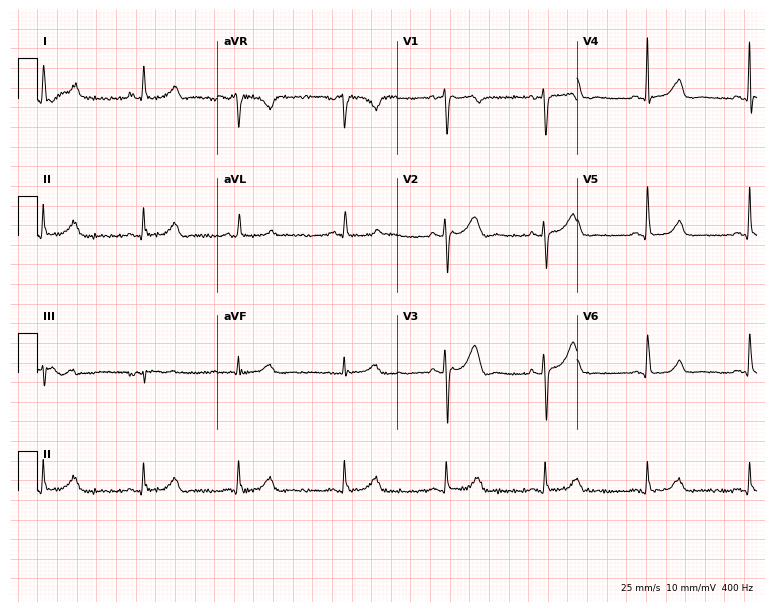
12-lead ECG from a female, 71 years old. Labelled as a normal ECG.